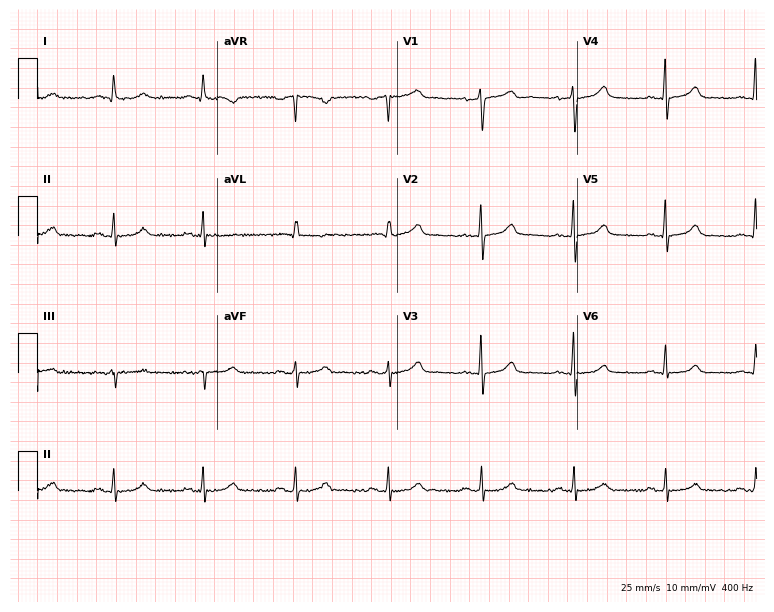
12-lead ECG from a 51-year-old man (7.3-second recording at 400 Hz). No first-degree AV block, right bundle branch block, left bundle branch block, sinus bradycardia, atrial fibrillation or sinus tachycardia recorded for this tracing.